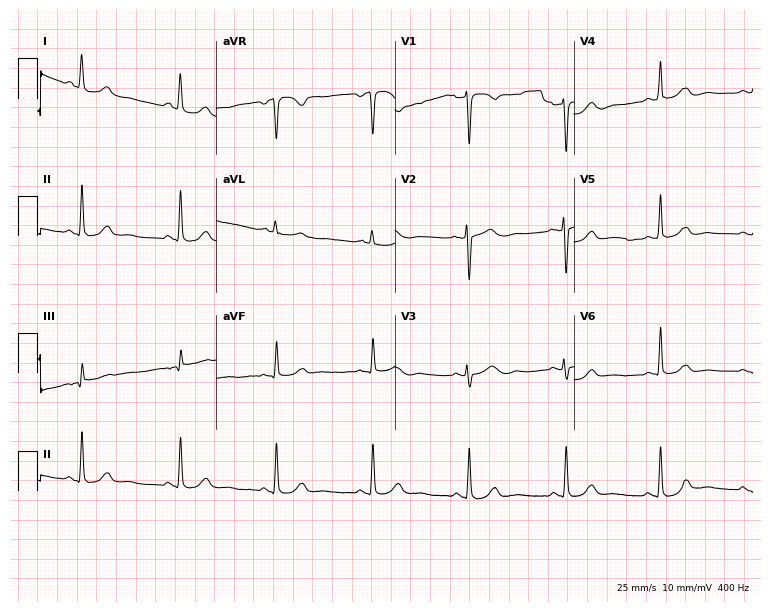
ECG (7.3-second recording at 400 Hz) — a woman, 52 years old. Screened for six findings — first-degree AV block, right bundle branch block, left bundle branch block, sinus bradycardia, atrial fibrillation, sinus tachycardia — none is recorded.